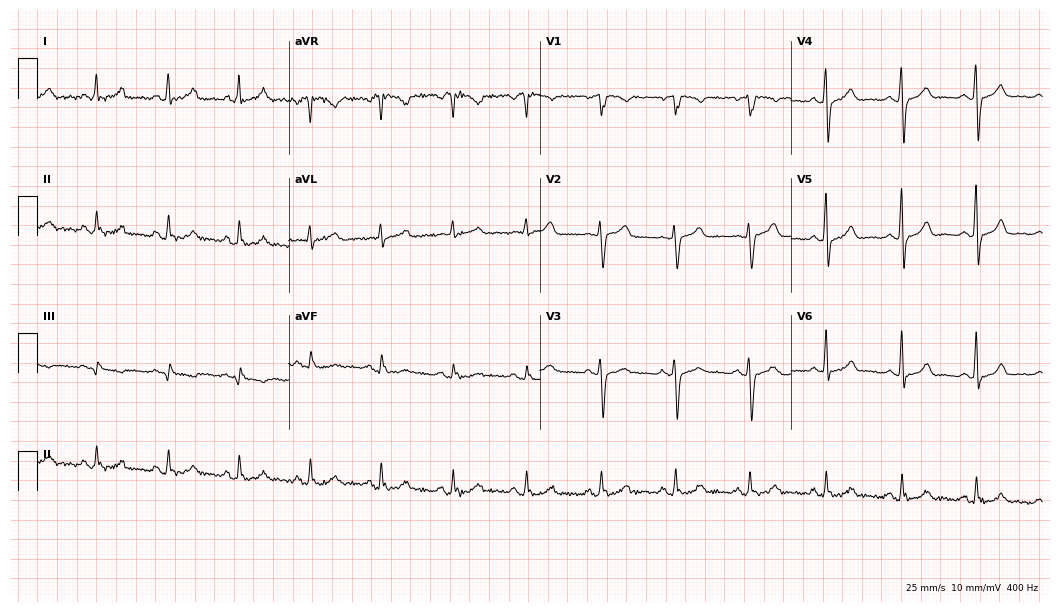
12-lead ECG from a female patient, 52 years old. Recorded interpretation: within normal limits.